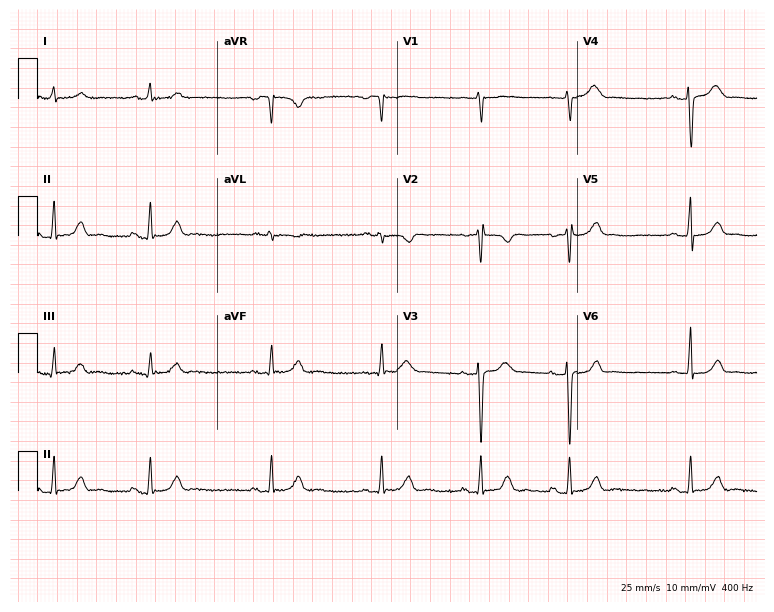
Standard 12-lead ECG recorded from a female, 20 years old. None of these six findings is recorded: first-degree AV block, right bundle branch block, left bundle branch block, sinus bradycardia, atrial fibrillation, sinus tachycardia.